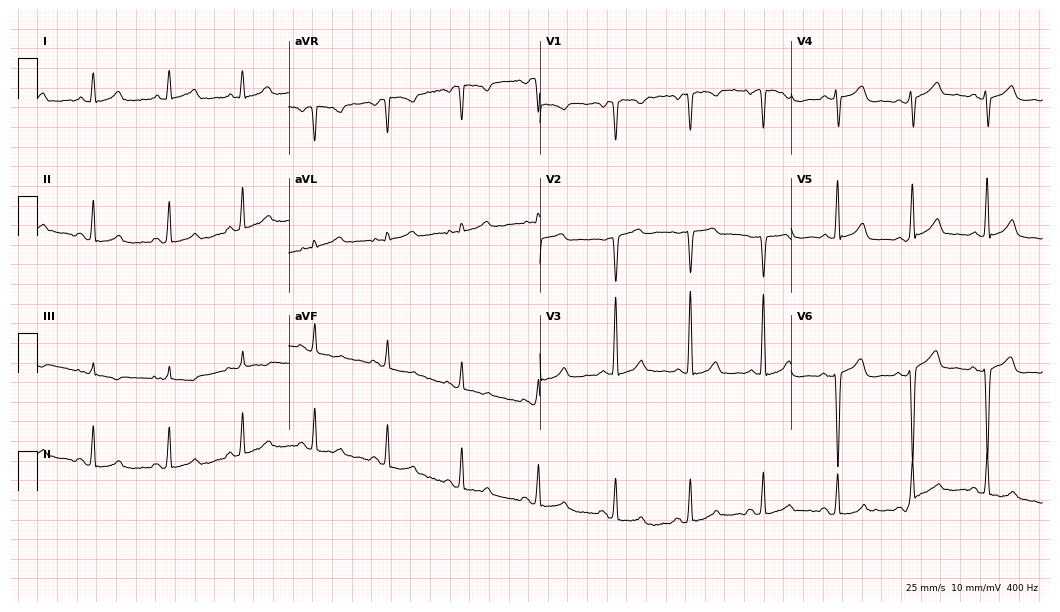
Resting 12-lead electrocardiogram (10.2-second recording at 400 Hz). Patient: a 35-year-old woman. Read as a normal ECG.